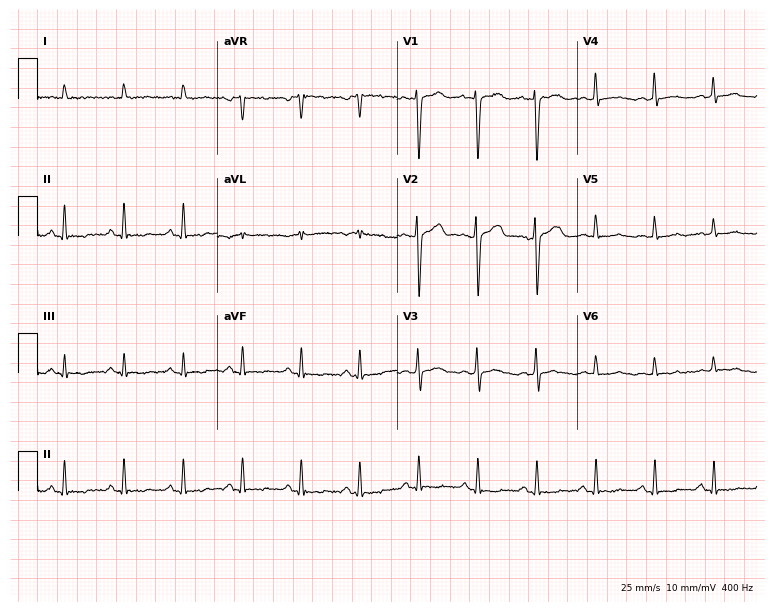
Resting 12-lead electrocardiogram (7.3-second recording at 400 Hz). Patient: a male, 43 years old. None of these six findings is recorded: first-degree AV block, right bundle branch block, left bundle branch block, sinus bradycardia, atrial fibrillation, sinus tachycardia. Other findings, if any, are not listed.